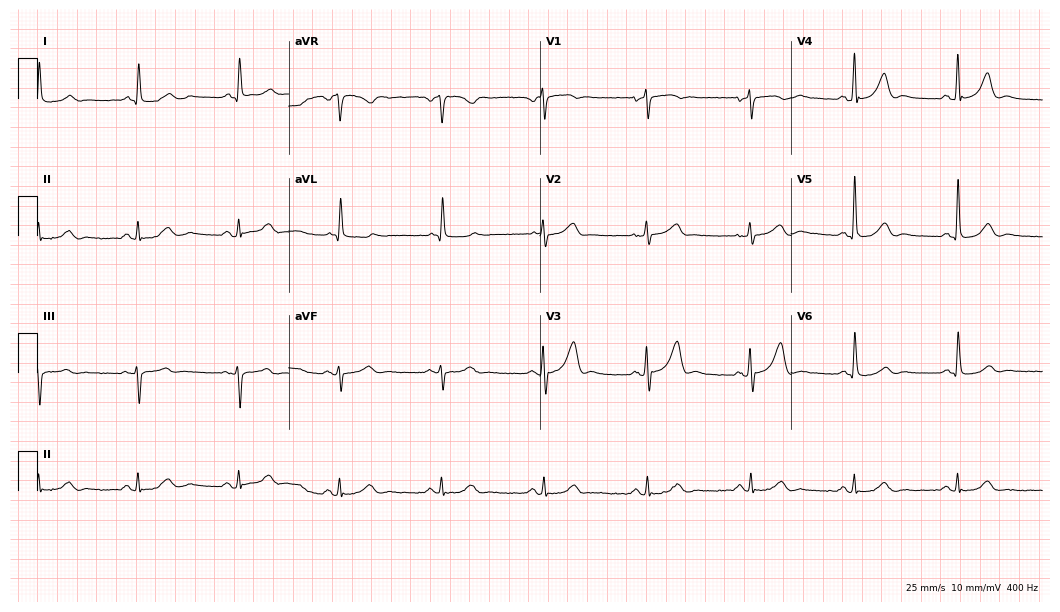
12-lead ECG from a male, 77 years old. No first-degree AV block, right bundle branch block (RBBB), left bundle branch block (LBBB), sinus bradycardia, atrial fibrillation (AF) or sinus tachycardia recorded for this tracing.